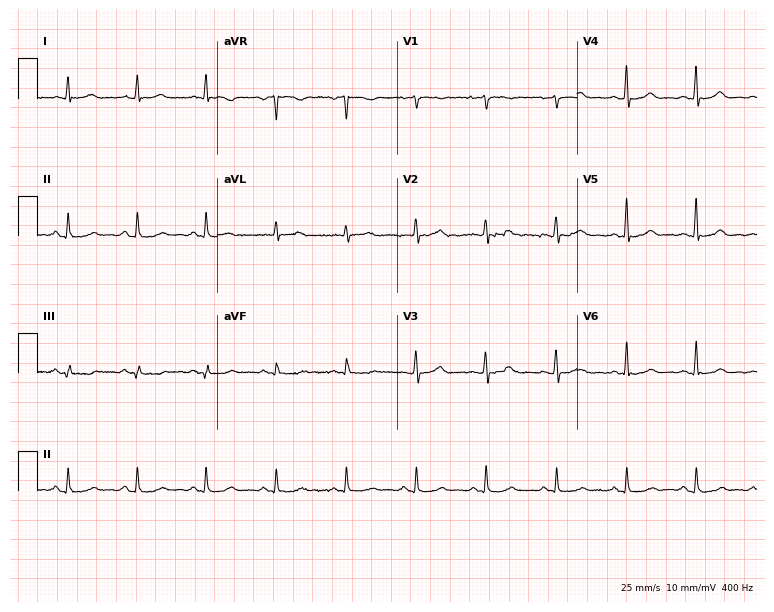
Standard 12-lead ECG recorded from a woman, 61 years old. Read as a normal ECG.